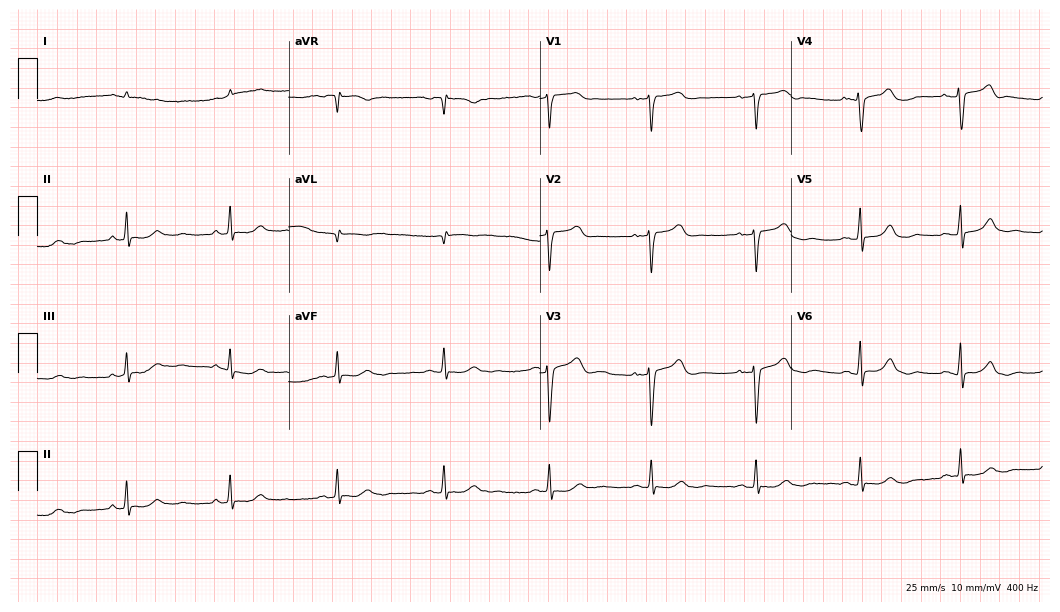
ECG — a 68-year-old male. Screened for six findings — first-degree AV block, right bundle branch block, left bundle branch block, sinus bradycardia, atrial fibrillation, sinus tachycardia — none is recorded.